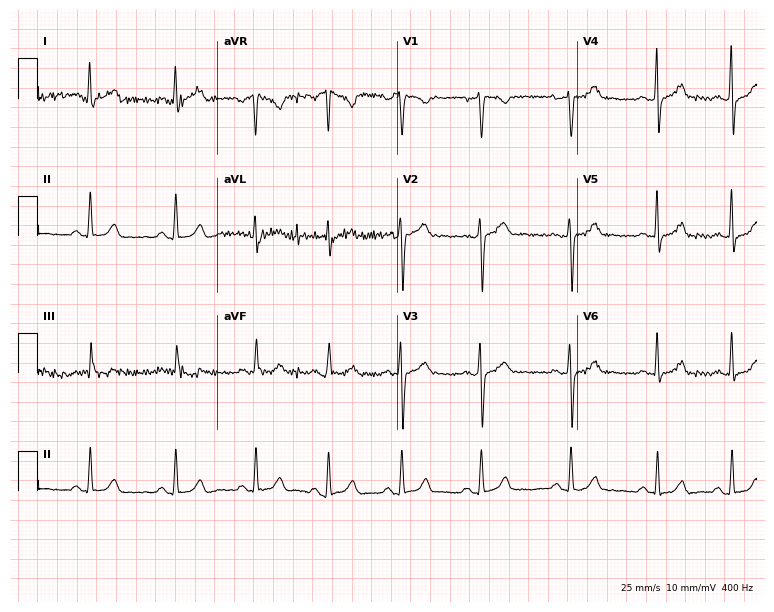
12-lead ECG from a 26-year-old female patient (7.3-second recording at 400 Hz). Recorded interpretation: within normal limits.